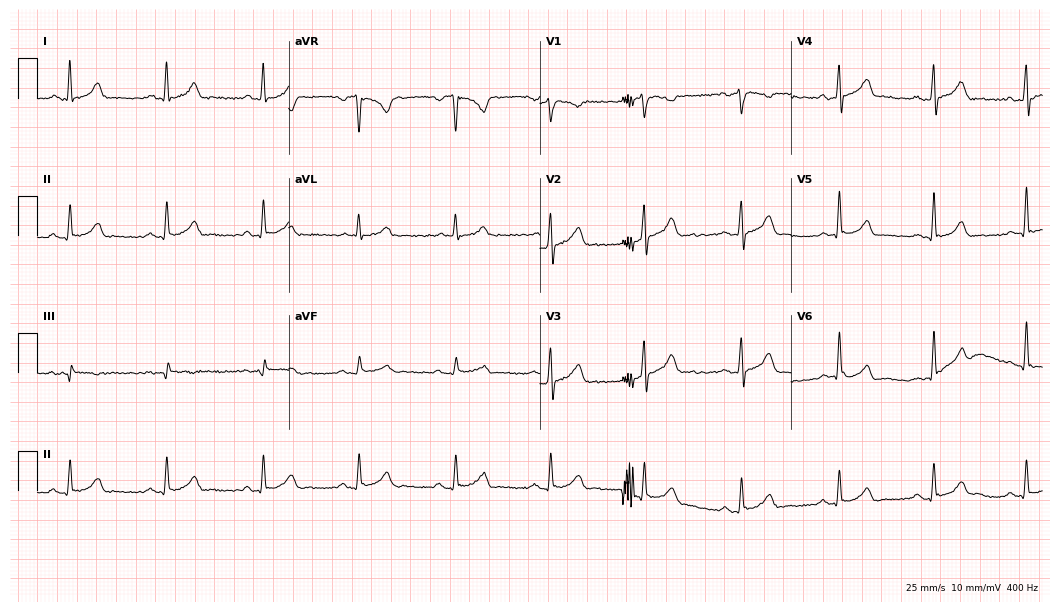
Resting 12-lead electrocardiogram (10.2-second recording at 400 Hz). Patient: a 43-year-old male. Read as a normal ECG.